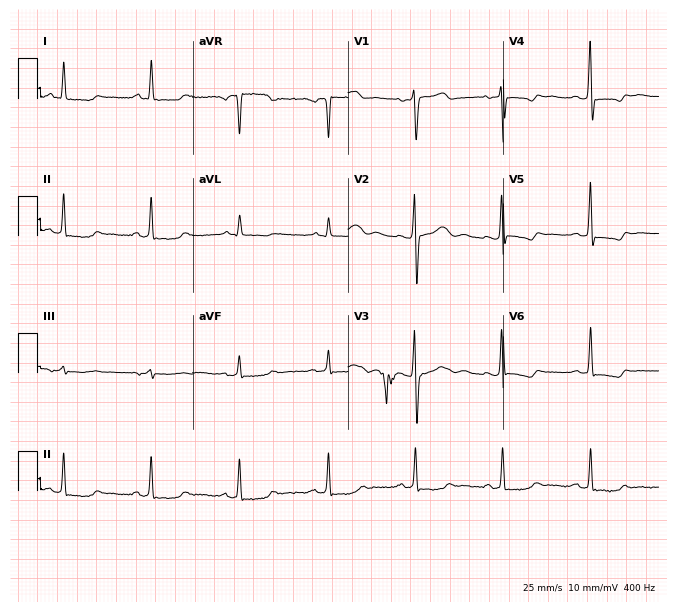
12-lead ECG (6.3-second recording at 400 Hz) from a 61-year-old female patient. Screened for six findings — first-degree AV block, right bundle branch block (RBBB), left bundle branch block (LBBB), sinus bradycardia, atrial fibrillation (AF), sinus tachycardia — none is recorded.